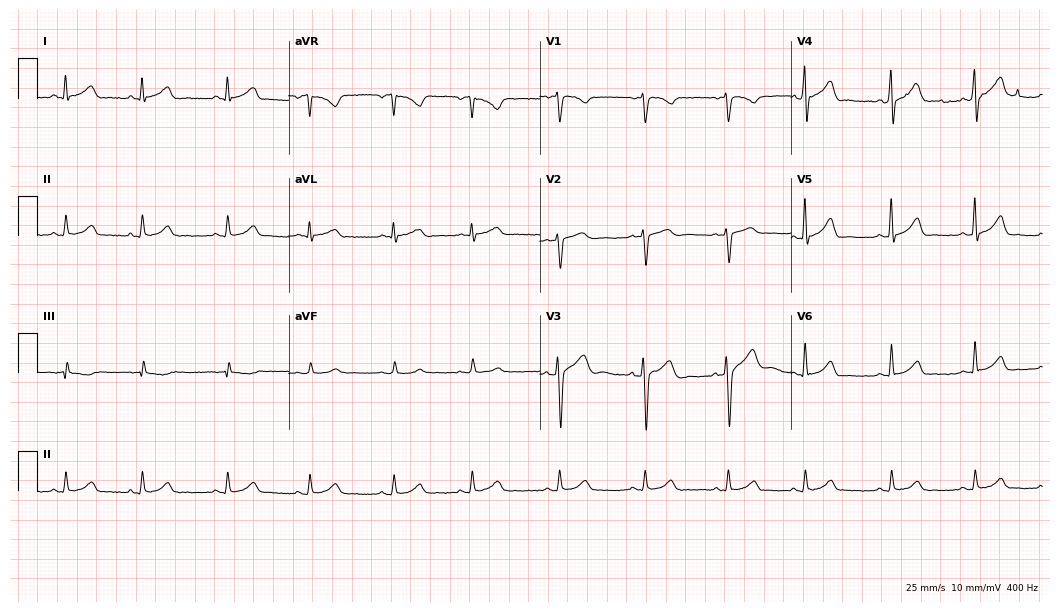
12-lead ECG from a 35-year-old male patient. Recorded interpretation: within normal limits.